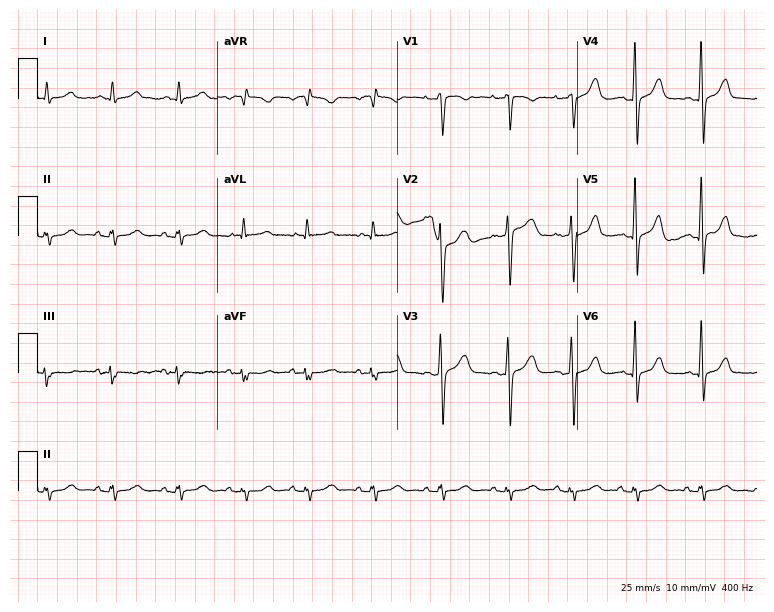
12-lead ECG from a woman, 49 years old. Screened for six findings — first-degree AV block, right bundle branch block, left bundle branch block, sinus bradycardia, atrial fibrillation, sinus tachycardia — none is recorded.